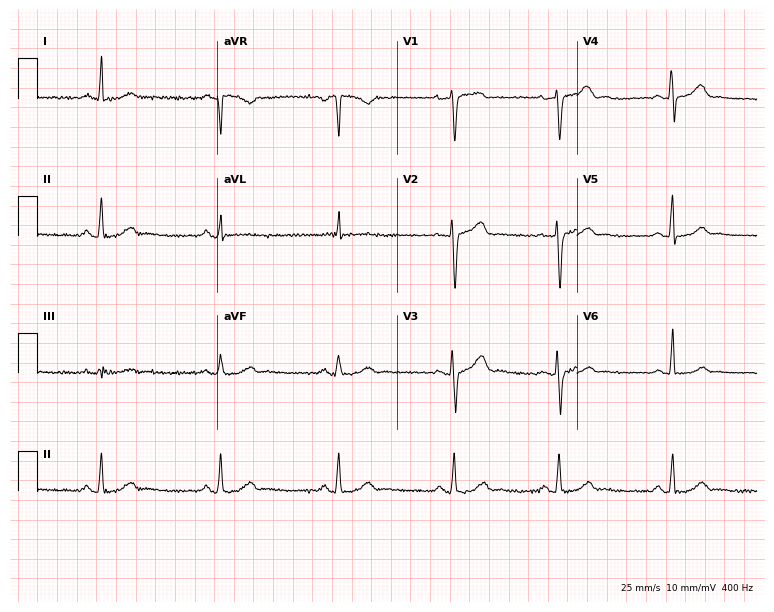
Resting 12-lead electrocardiogram. Patient: a 35-year-old female. Read as a normal ECG.